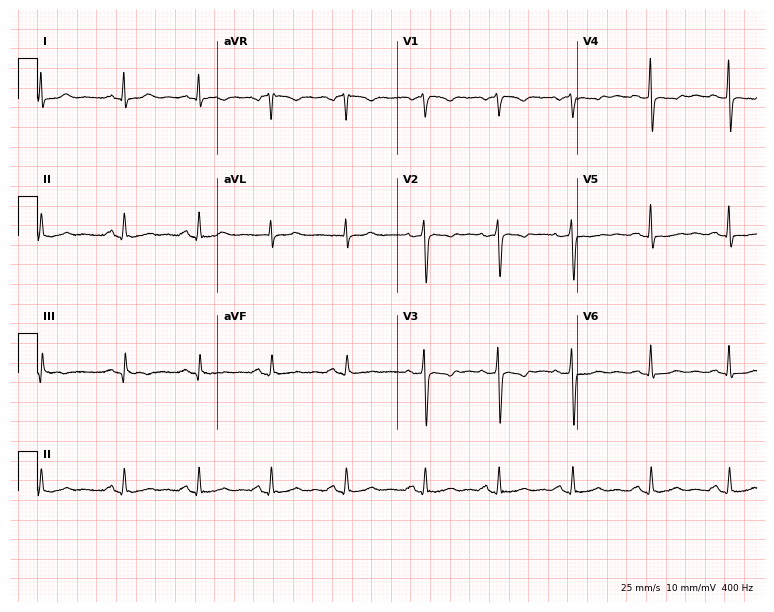
Standard 12-lead ECG recorded from a female patient, 35 years old (7.3-second recording at 400 Hz). None of these six findings is recorded: first-degree AV block, right bundle branch block (RBBB), left bundle branch block (LBBB), sinus bradycardia, atrial fibrillation (AF), sinus tachycardia.